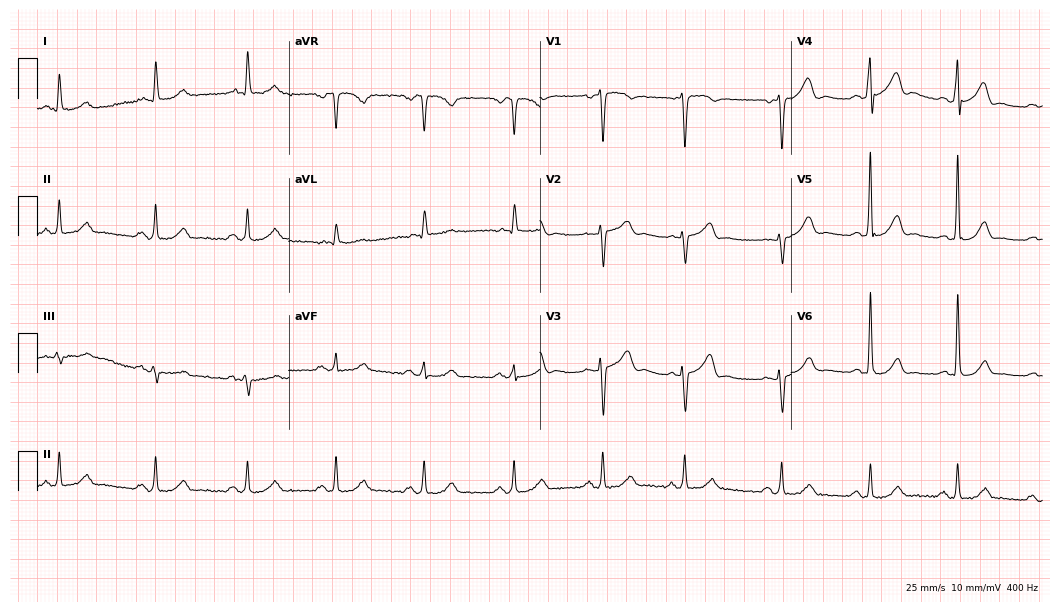
Standard 12-lead ECG recorded from a male, 82 years old (10.2-second recording at 400 Hz). Read as a normal ECG.